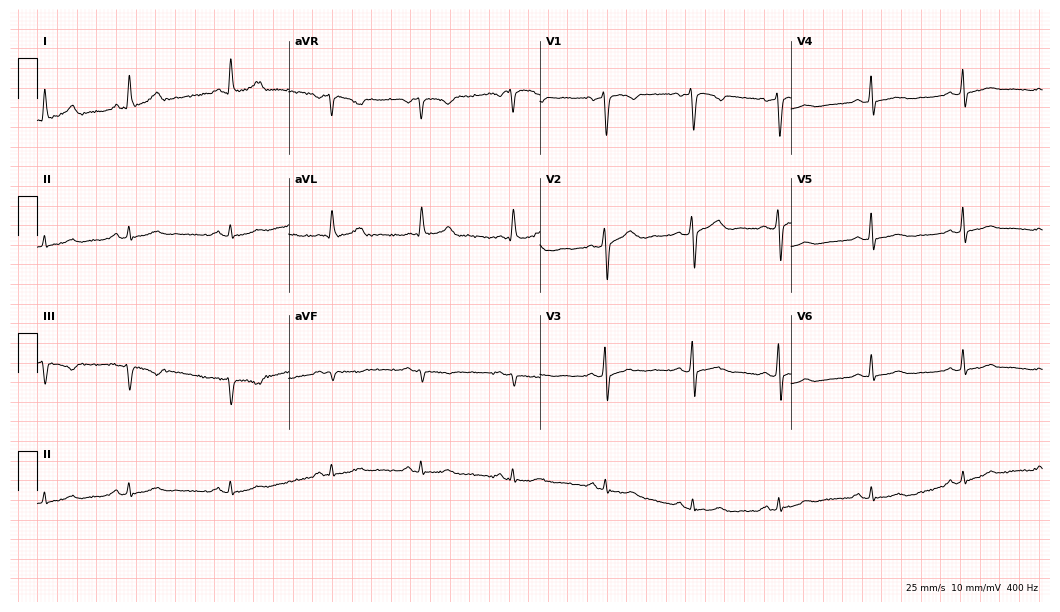
Standard 12-lead ECG recorded from a female patient, 64 years old. None of these six findings is recorded: first-degree AV block, right bundle branch block, left bundle branch block, sinus bradycardia, atrial fibrillation, sinus tachycardia. Other findings, if any, are not listed.